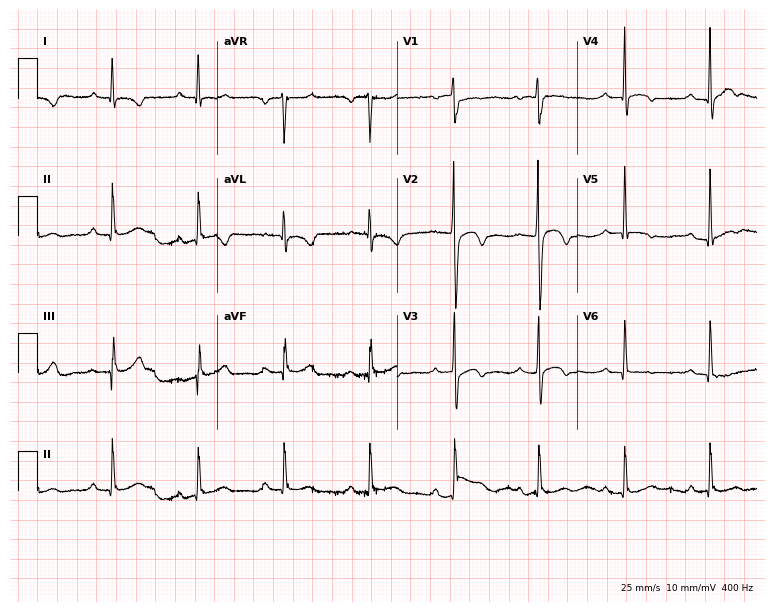
12-lead ECG from a 57-year-old man. Screened for six findings — first-degree AV block, right bundle branch block, left bundle branch block, sinus bradycardia, atrial fibrillation, sinus tachycardia — none is recorded. Findings outside these six are not listed.